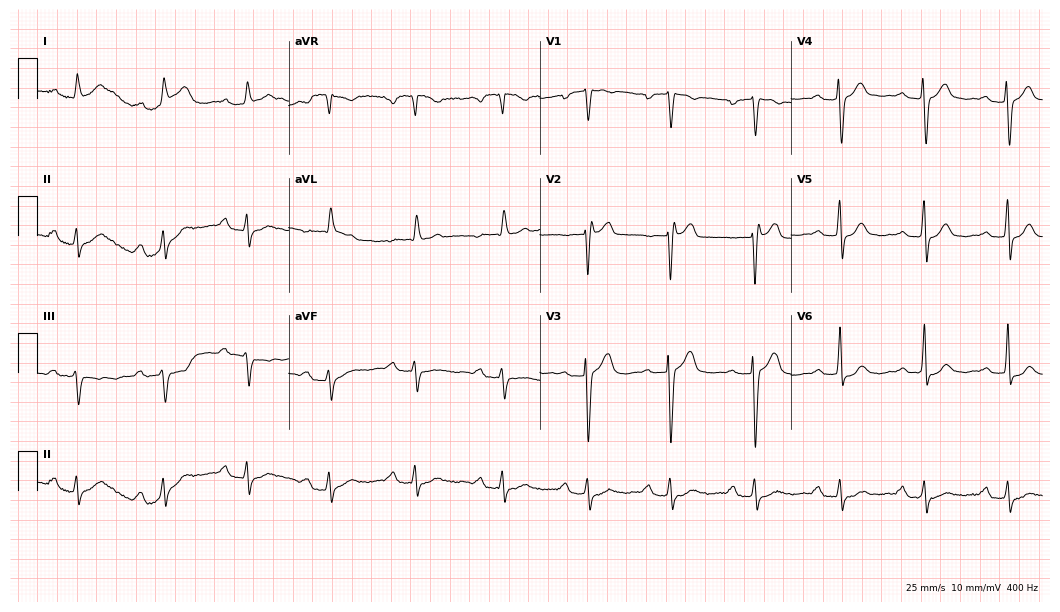
Resting 12-lead electrocardiogram. Patient: an 82-year-old woman. The tracing shows first-degree AV block.